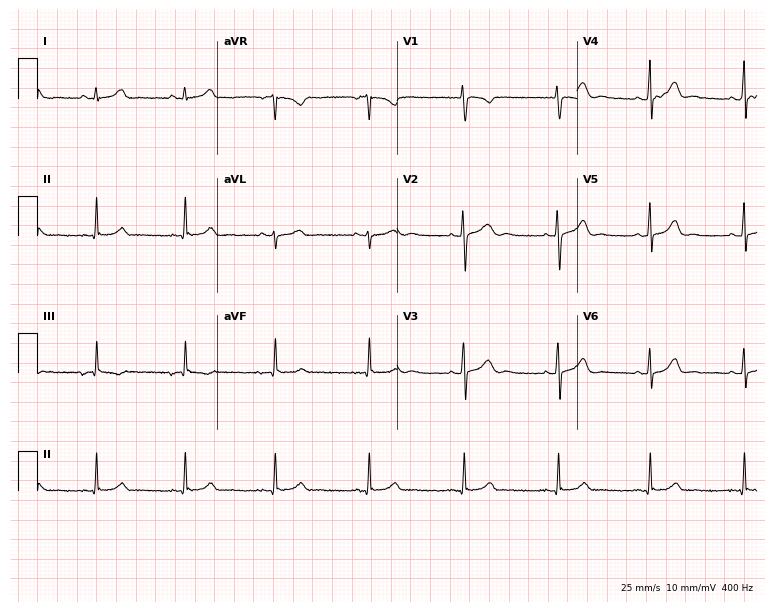
12-lead ECG from an 18-year-old female patient. Recorded interpretation: within normal limits.